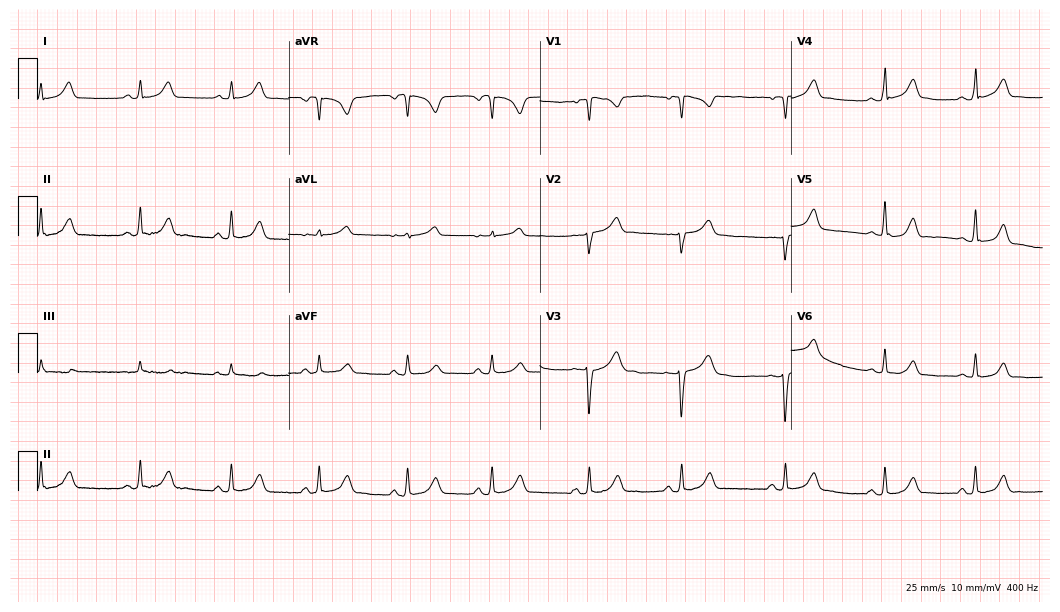
12-lead ECG from a 30-year-old female (10.2-second recording at 400 Hz). No first-degree AV block, right bundle branch block, left bundle branch block, sinus bradycardia, atrial fibrillation or sinus tachycardia recorded for this tracing.